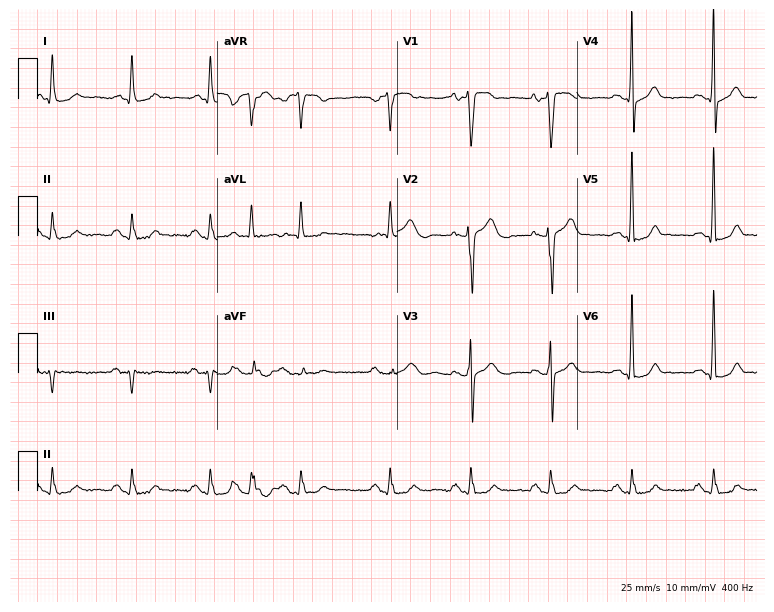
Resting 12-lead electrocardiogram. Patient: a man, 82 years old. None of these six findings is recorded: first-degree AV block, right bundle branch block, left bundle branch block, sinus bradycardia, atrial fibrillation, sinus tachycardia.